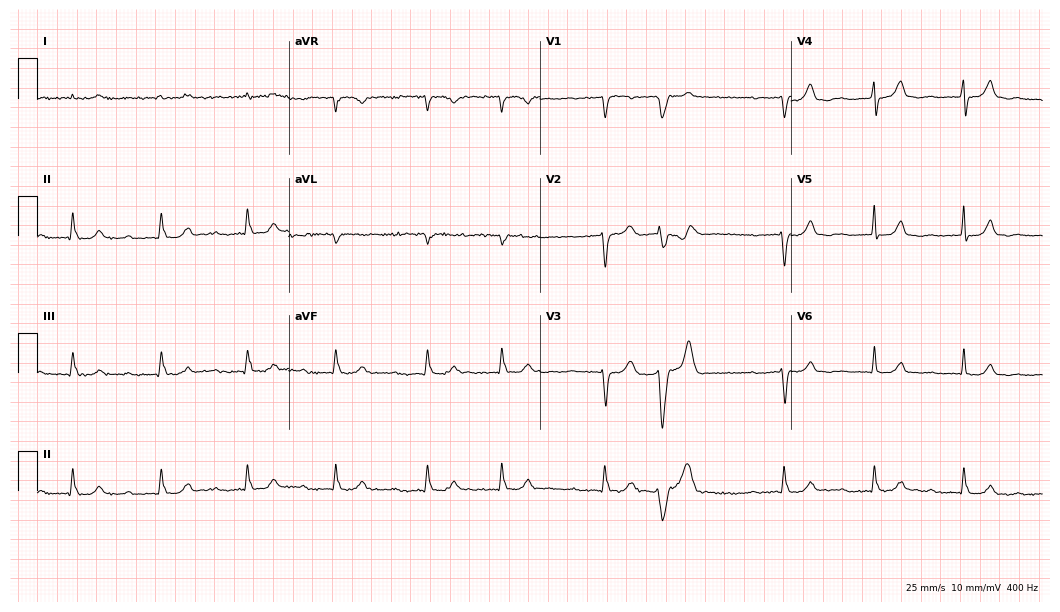
Electrocardiogram, a female patient, 82 years old. Interpretation includes atrial fibrillation.